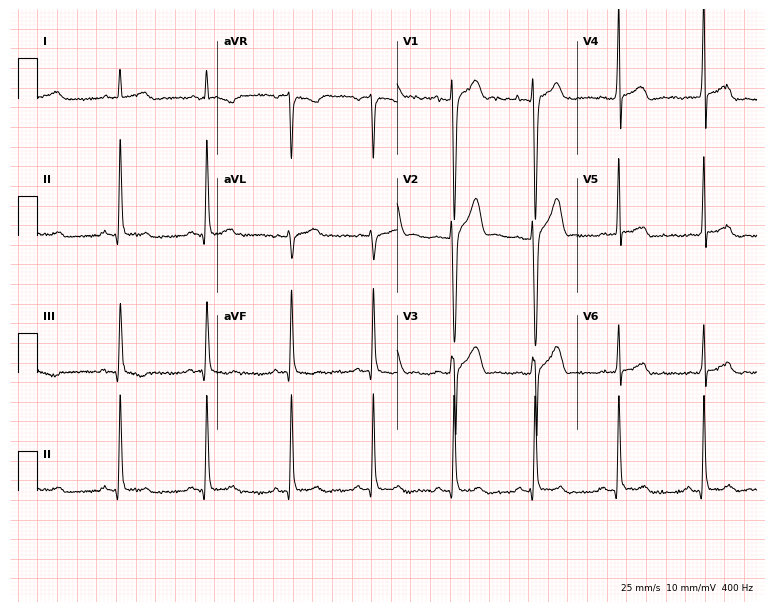
Electrocardiogram, a man, 23 years old. Overall reading on record: normal ECG.